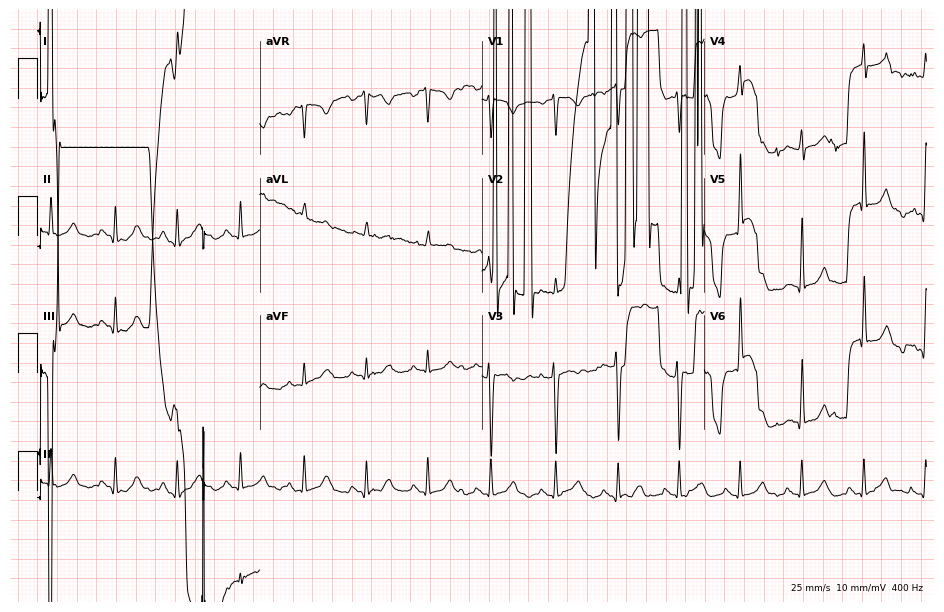
12-lead ECG from a female patient, 25 years old. Screened for six findings — first-degree AV block, right bundle branch block, left bundle branch block, sinus bradycardia, atrial fibrillation, sinus tachycardia — none is recorded. Only these six findings were labelled.